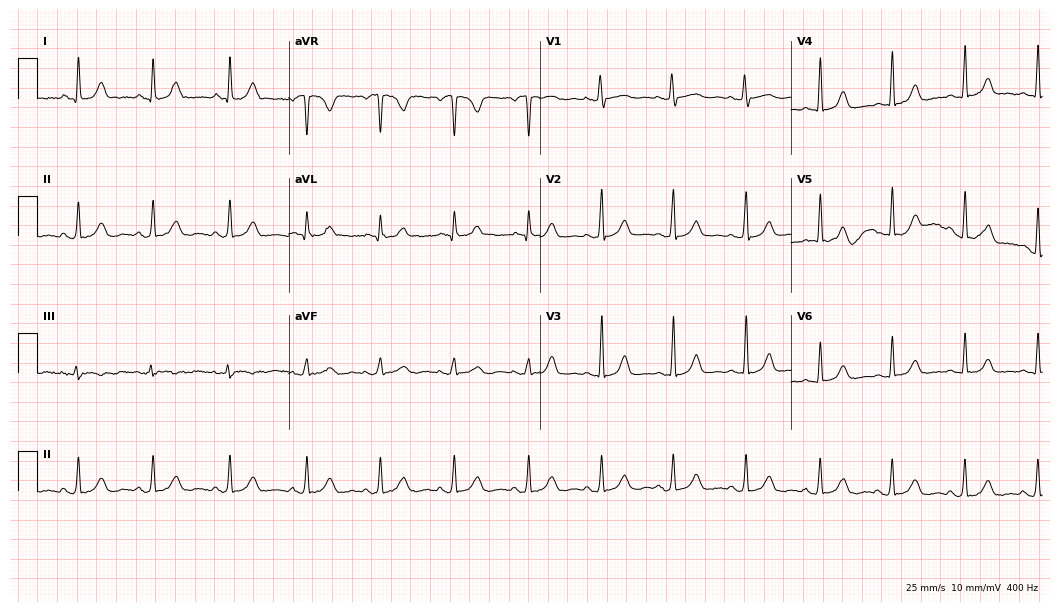
ECG (10.2-second recording at 400 Hz) — a female, 40 years old. Screened for six findings — first-degree AV block, right bundle branch block, left bundle branch block, sinus bradycardia, atrial fibrillation, sinus tachycardia — none is recorded. Findings outside these six are not listed.